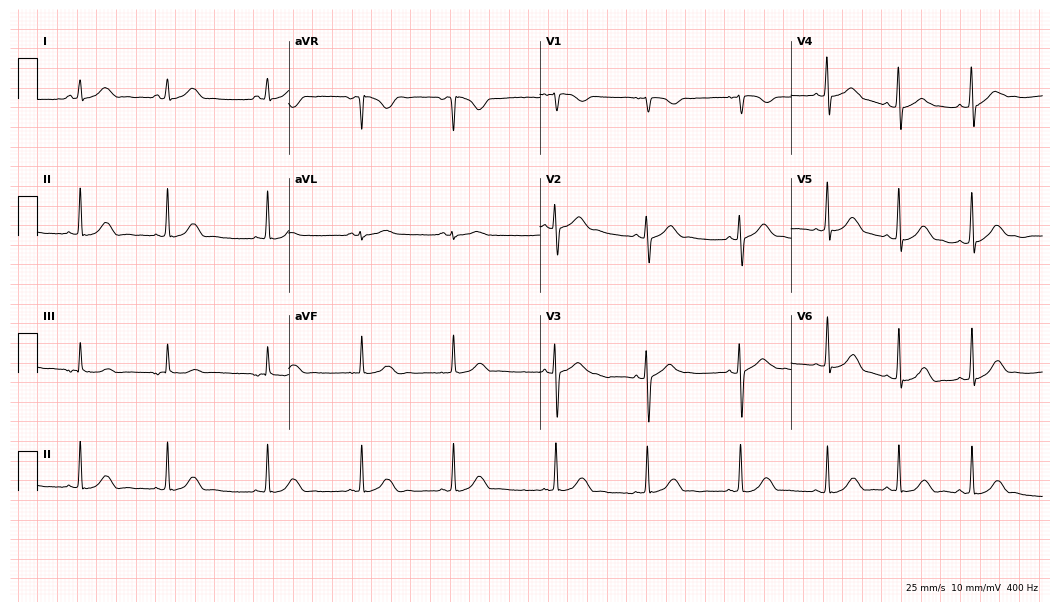
ECG (10.2-second recording at 400 Hz) — a female patient, 18 years old. Labelled as a normal ECG.